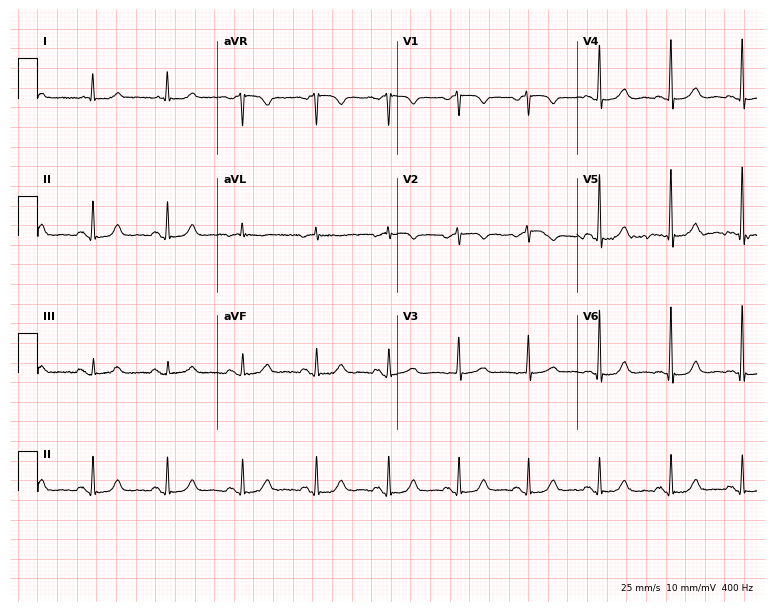
Standard 12-lead ECG recorded from a female patient, 82 years old. Read as a normal ECG.